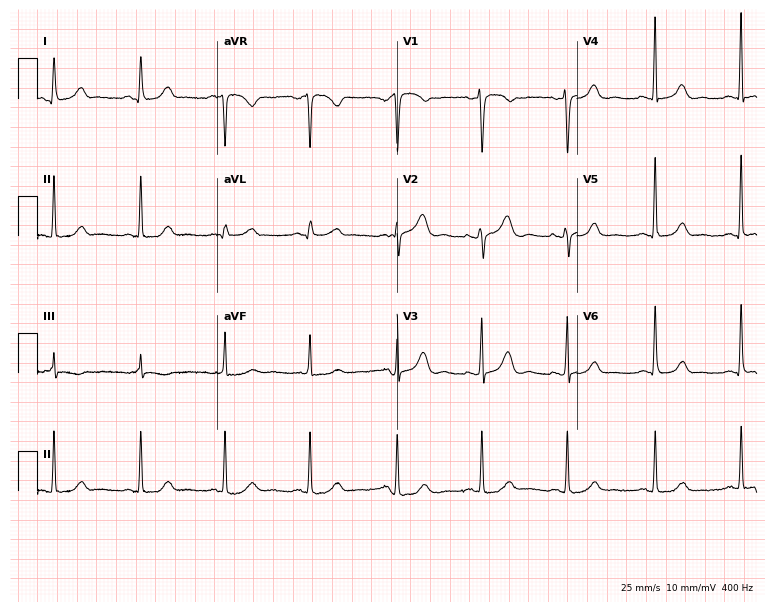
ECG — a 54-year-old female patient. Screened for six findings — first-degree AV block, right bundle branch block (RBBB), left bundle branch block (LBBB), sinus bradycardia, atrial fibrillation (AF), sinus tachycardia — none is recorded.